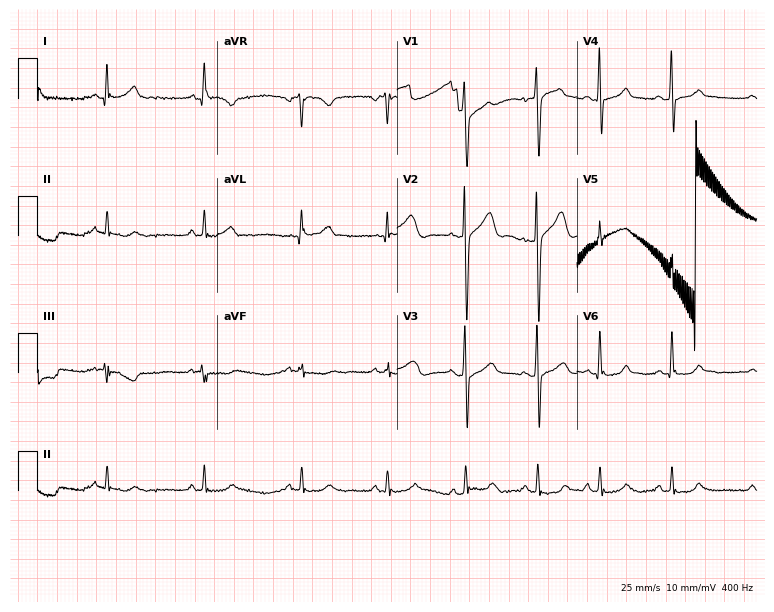
Electrocardiogram (7.3-second recording at 400 Hz), a male, 27 years old. Of the six screened findings (first-degree AV block, right bundle branch block (RBBB), left bundle branch block (LBBB), sinus bradycardia, atrial fibrillation (AF), sinus tachycardia), none is recorded. Only these six findings were labelled.